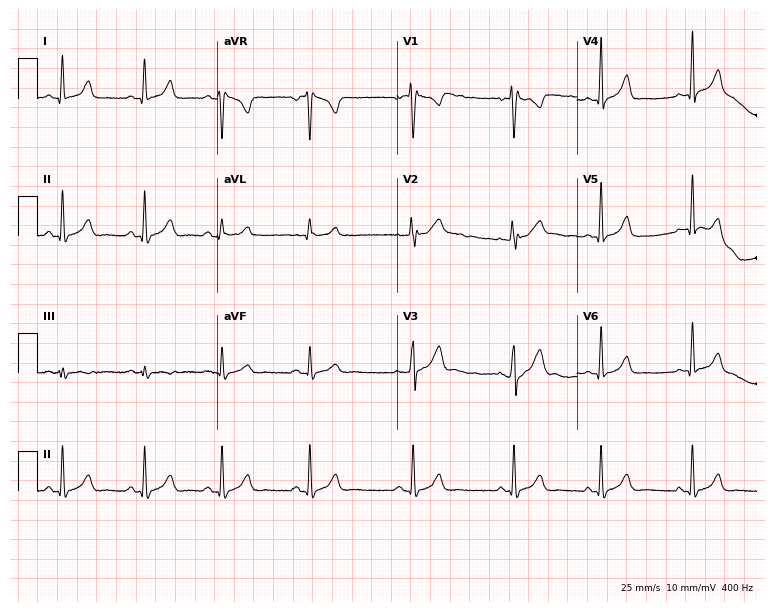
Electrocardiogram, a 28-year-old female. Of the six screened findings (first-degree AV block, right bundle branch block, left bundle branch block, sinus bradycardia, atrial fibrillation, sinus tachycardia), none is recorded.